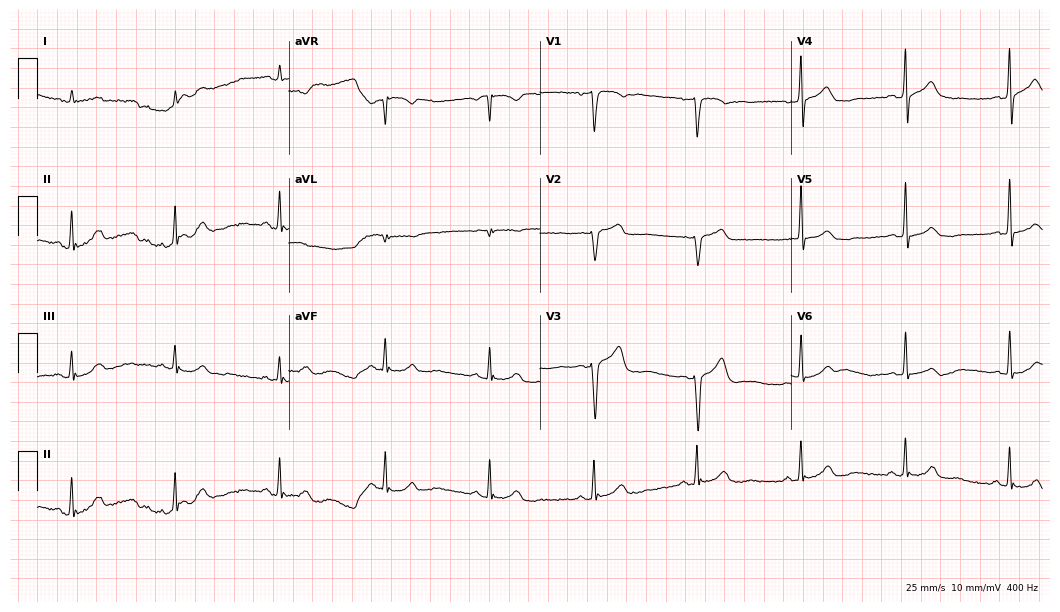
Electrocardiogram (10.2-second recording at 400 Hz), a 65-year-old male. Overall reading on record: normal ECG.